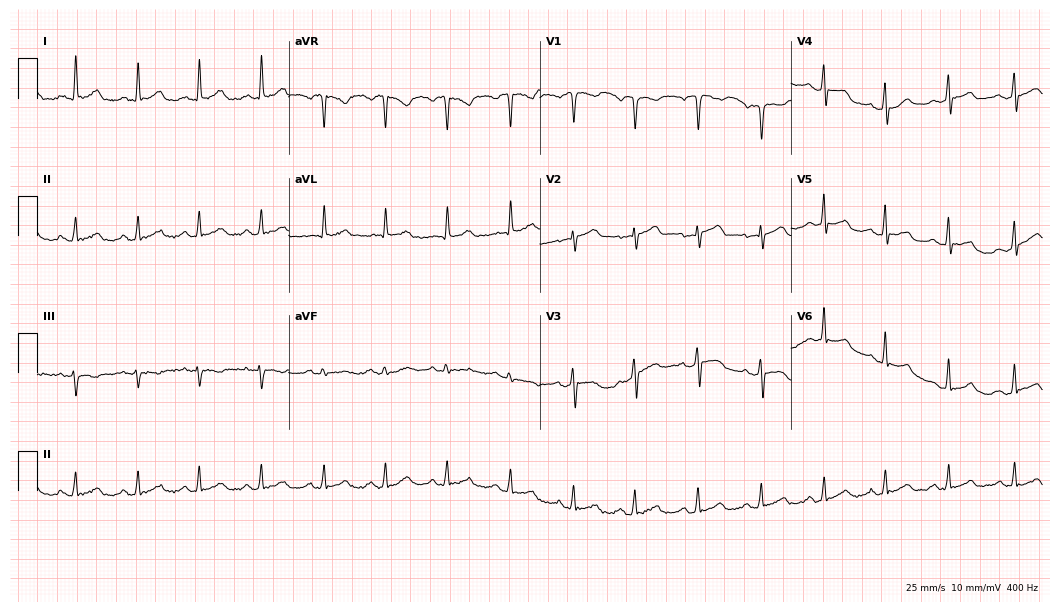
12-lead ECG from a 46-year-old male (10.2-second recording at 400 Hz). Recorded interpretation: within normal limits.